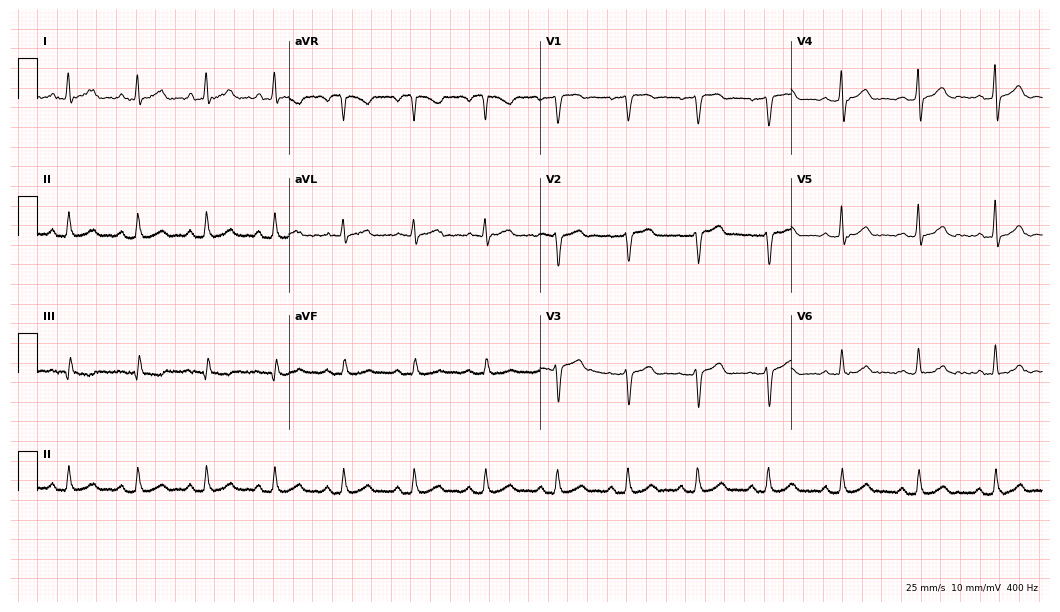
Standard 12-lead ECG recorded from a woman, 47 years old (10.2-second recording at 400 Hz). Read as a normal ECG.